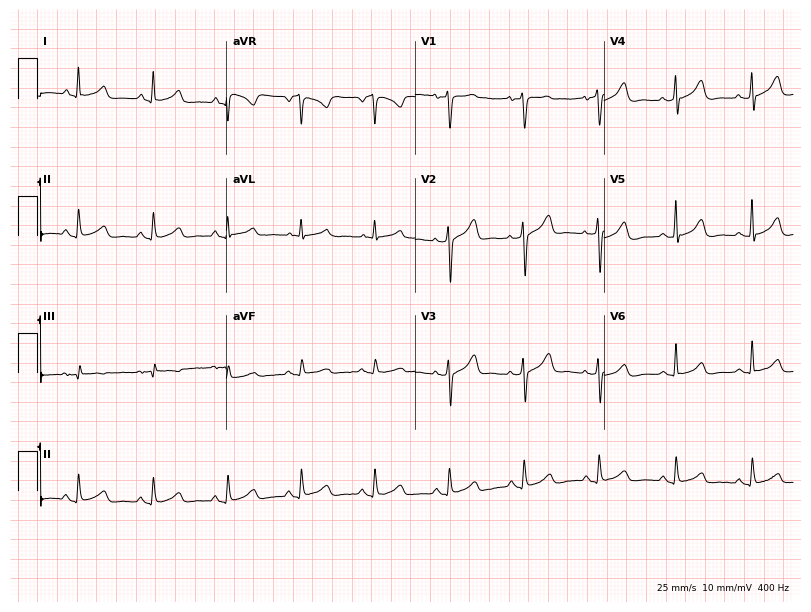
12-lead ECG from a woman, 64 years old. Recorded interpretation: within normal limits.